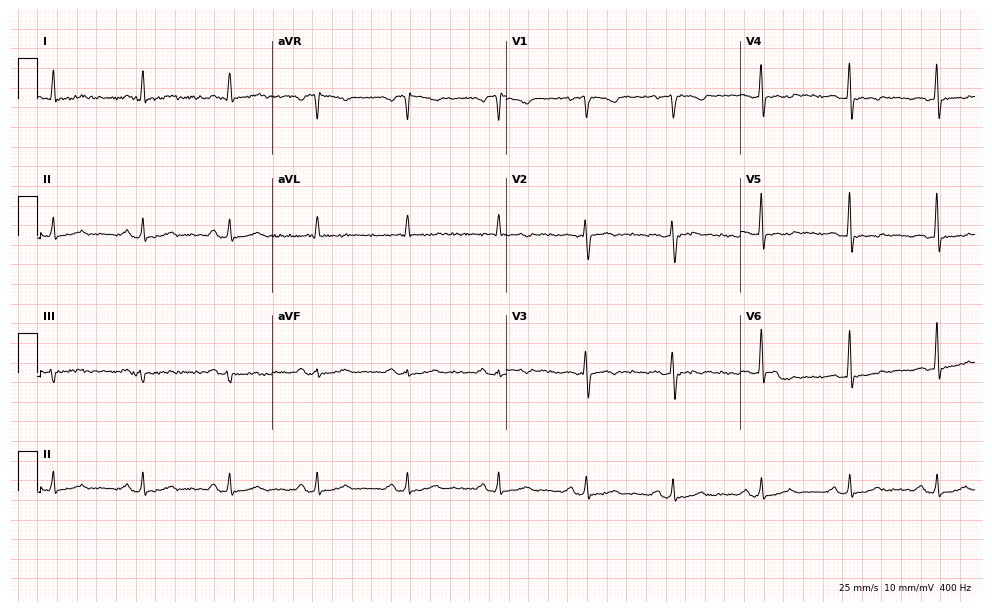
Electrocardiogram (9.6-second recording at 400 Hz), a female, 55 years old. Of the six screened findings (first-degree AV block, right bundle branch block, left bundle branch block, sinus bradycardia, atrial fibrillation, sinus tachycardia), none is recorded.